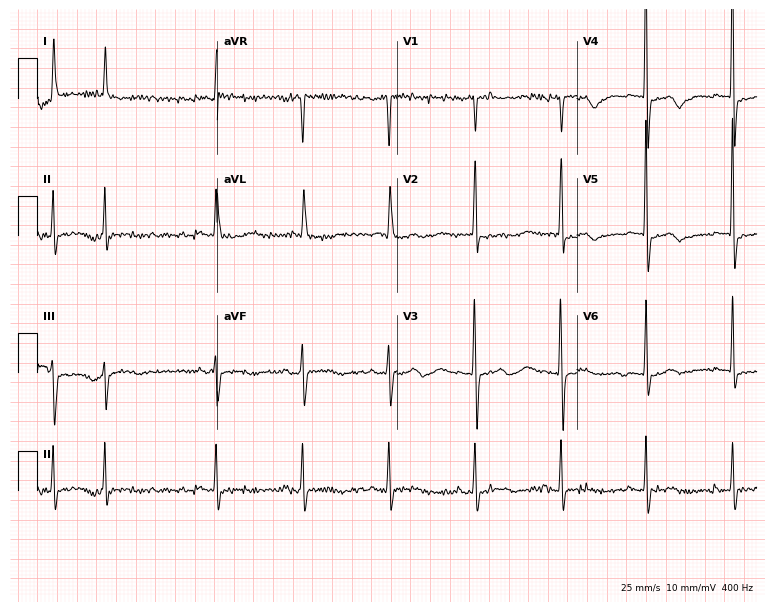
Resting 12-lead electrocardiogram (7.3-second recording at 400 Hz). Patient: a 79-year-old woman. None of these six findings is recorded: first-degree AV block, right bundle branch block, left bundle branch block, sinus bradycardia, atrial fibrillation, sinus tachycardia.